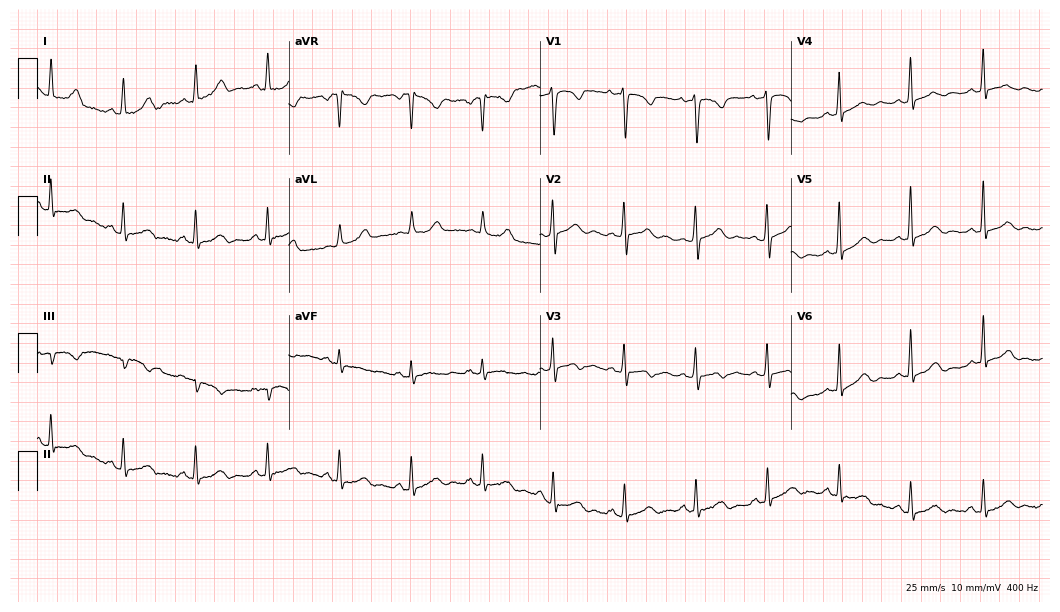
Resting 12-lead electrocardiogram (10.2-second recording at 400 Hz). Patient: a female, 30 years old. Read as a normal ECG.